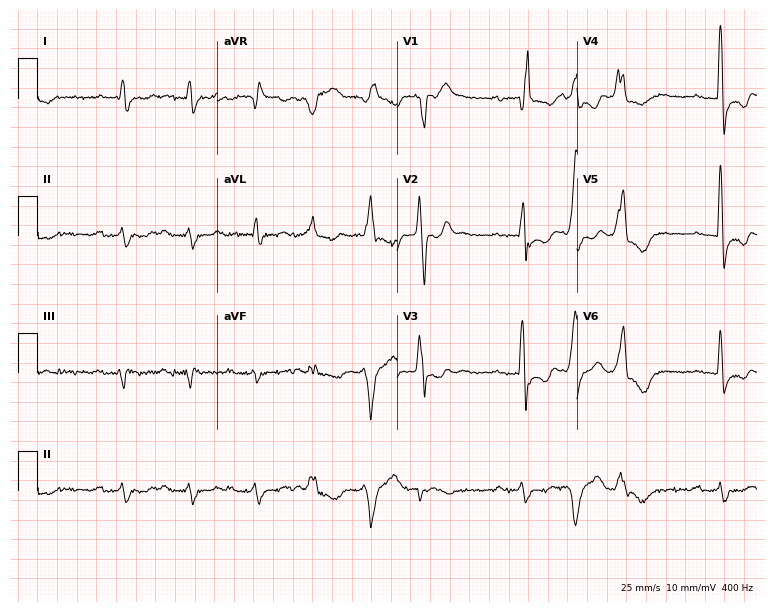
12-lead ECG (7.3-second recording at 400 Hz) from an 83-year-old female. Findings include right bundle branch block (RBBB).